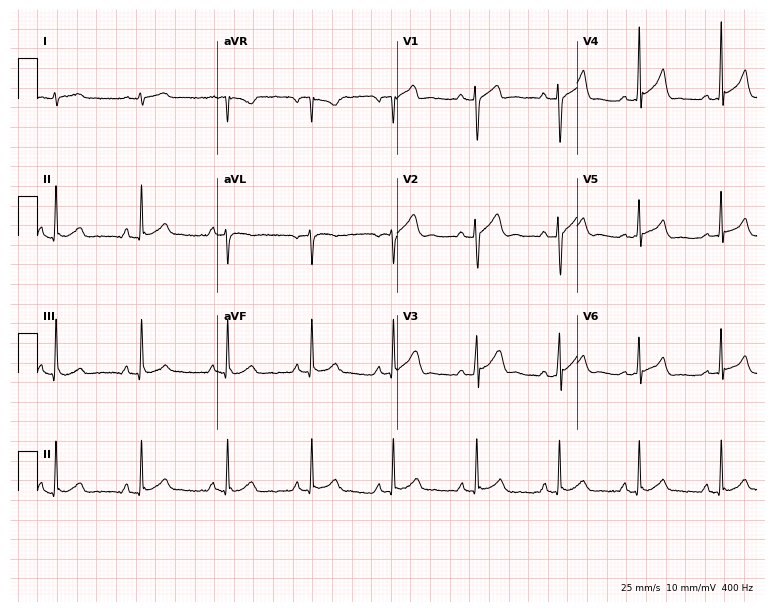
ECG — a male, 33 years old. Screened for six findings — first-degree AV block, right bundle branch block, left bundle branch block, sinus bradycardia, atrial fibrillation, sinus tachycardia — none is recorded. Only these six findings were labelled.